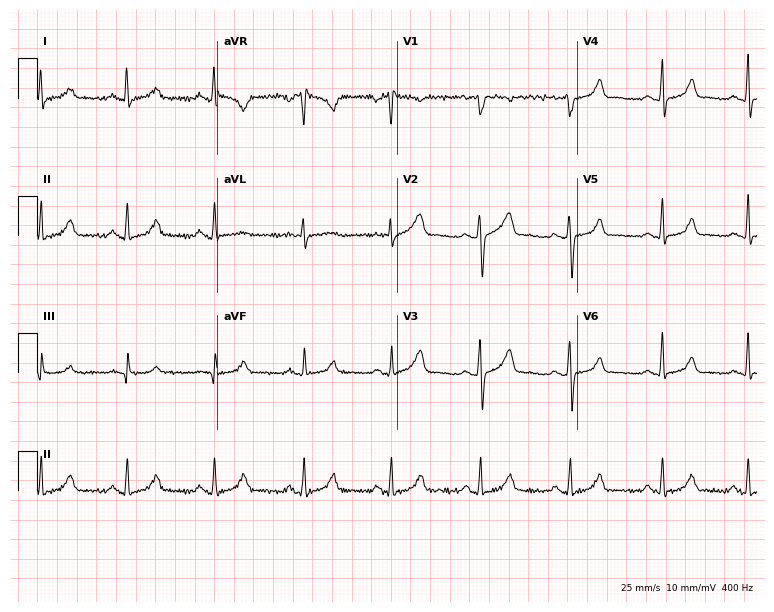
12-lead ECG from a 33-year-old woman. Recorded interpretation: within normal limits.